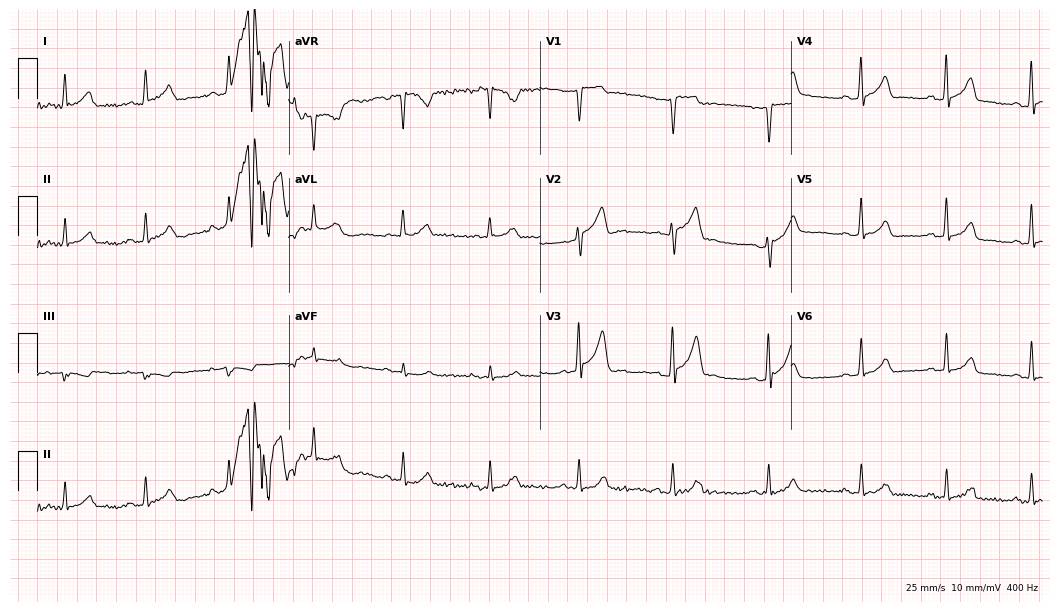
12-lead ECG from a man, 55 years old (10.2-second recording at 400 Hz). No first-degree AV block, right bundle branch block, left bundle branch block, sinus bradycardia, atrial fibrillation or sinus tachycardia recorded for this tracing. Findings outside these six are not listed.